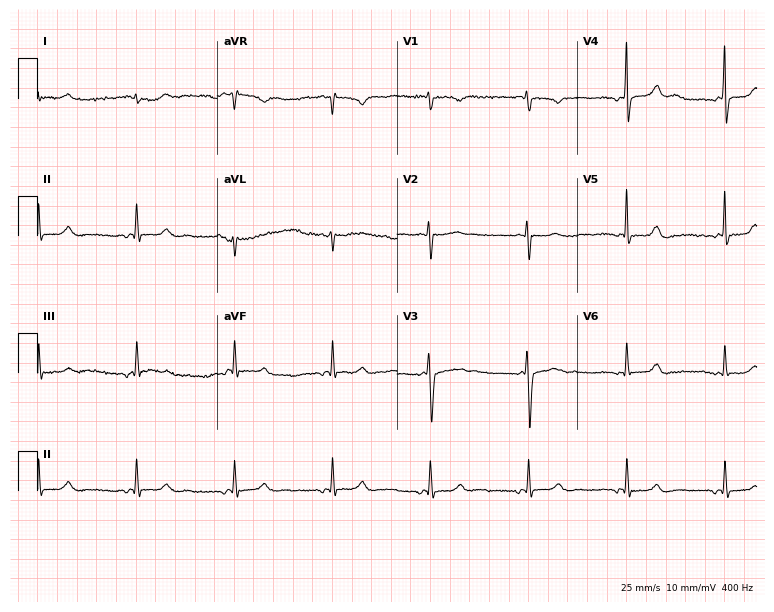
12-lead ECG from a 38-year-old female (7.3-second recording at 400 Hz). No first-degree AV block, right bundle branch block, left bundle branch block, sinus bradycardia, atrial fibrillation or sinus tachycardia recorded for this tracing. Findings outside these six are not listed.